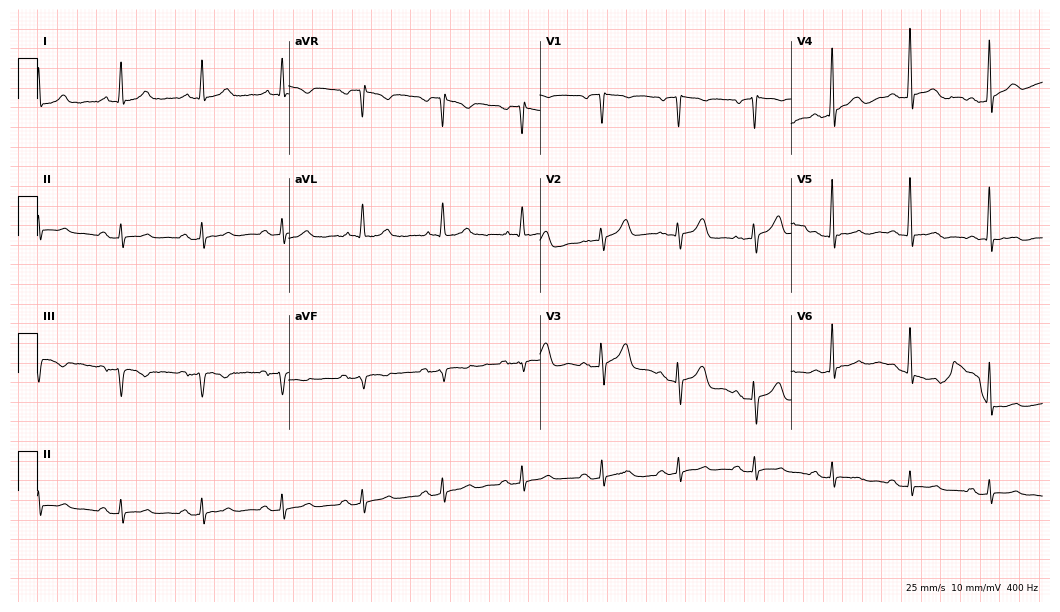
Resting 12-lead electrocardiogram. Patient: a 78-year-old male. None of these six findings is recorded: first-degree AV block, right bundle branch block, left bundle branch block, sinus bradycardia, atrial fibrillation, sinus tachycardia.